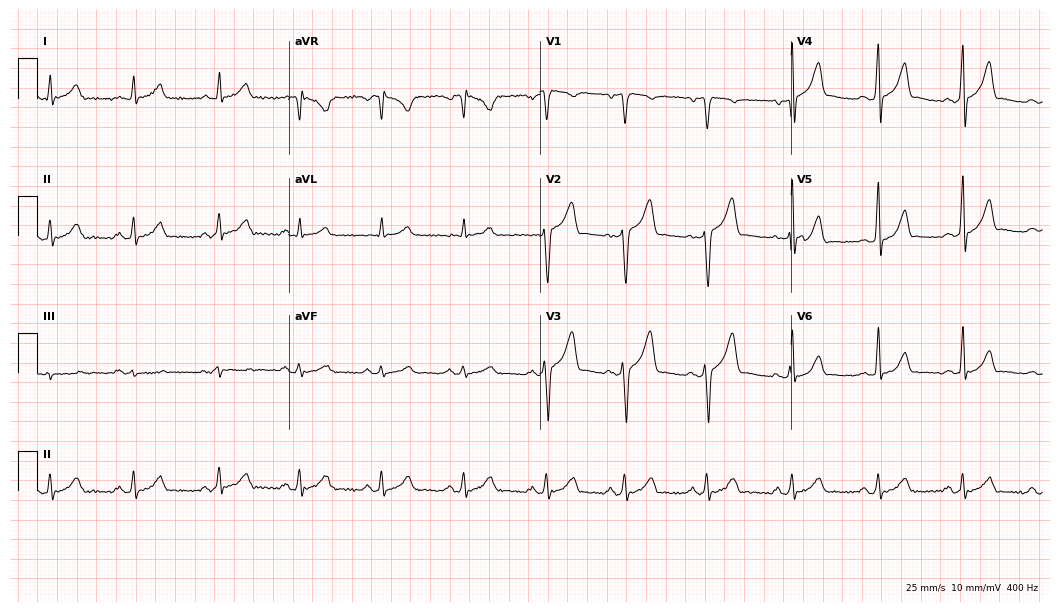
12-lead ECG from a 43-year-old male (10.2-second recording at 400 Hz). Recorded interpretation: within normal limits.